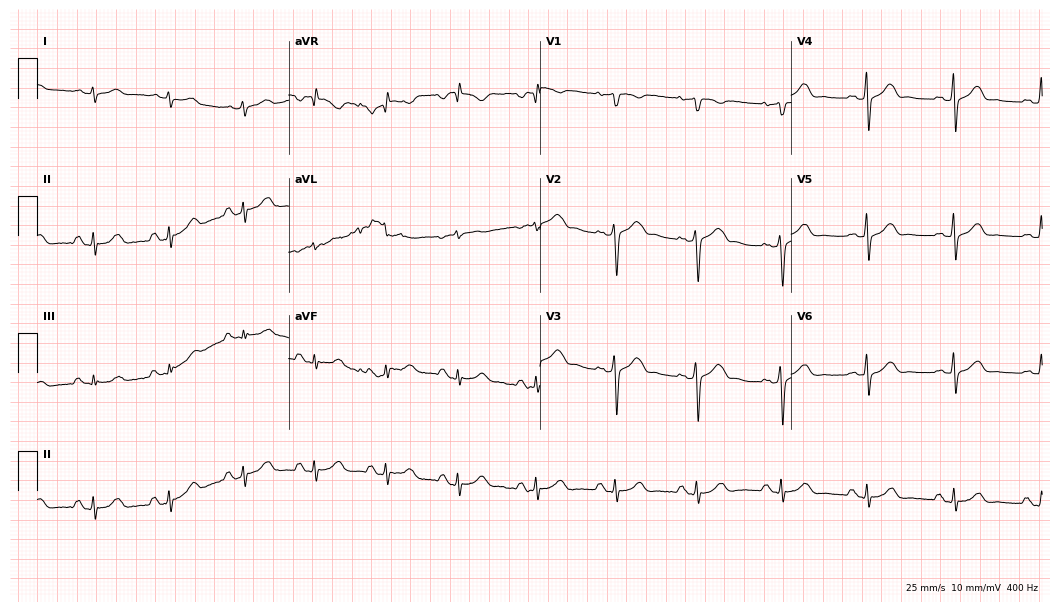
Standard 12-lead ECG recorded from a male patient, 62 years old. None of these six findings is recorded: first-degree AV block, right bundle branch block, left bundle branch block, sinus bradycardia, atrial fibrillation, sinus tachycardia.